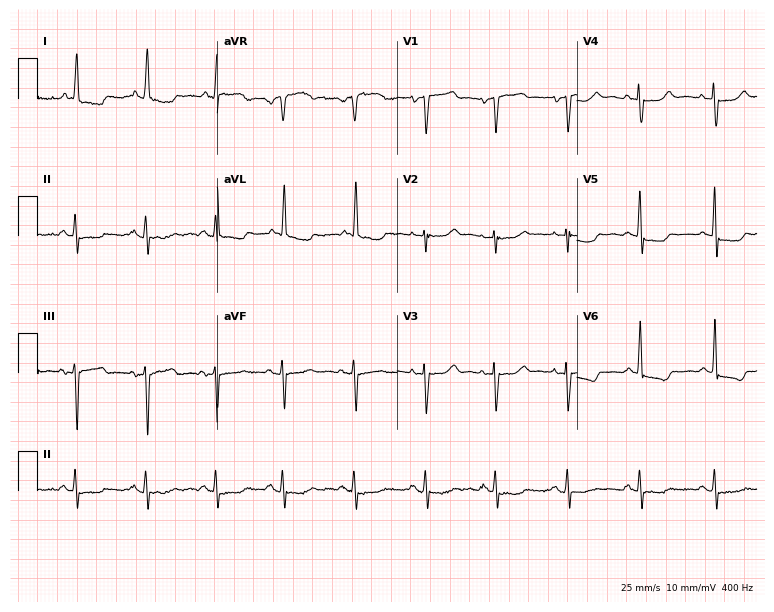
12-lead ECG from a woman, 86 years old. Screened for six findings — first-degree AV block, right bundle branch block, left bundle branch block, sinus bradycardia, atrial fibrillation, sinus tachycardia — none is recorded. Only these six findings were labelled.